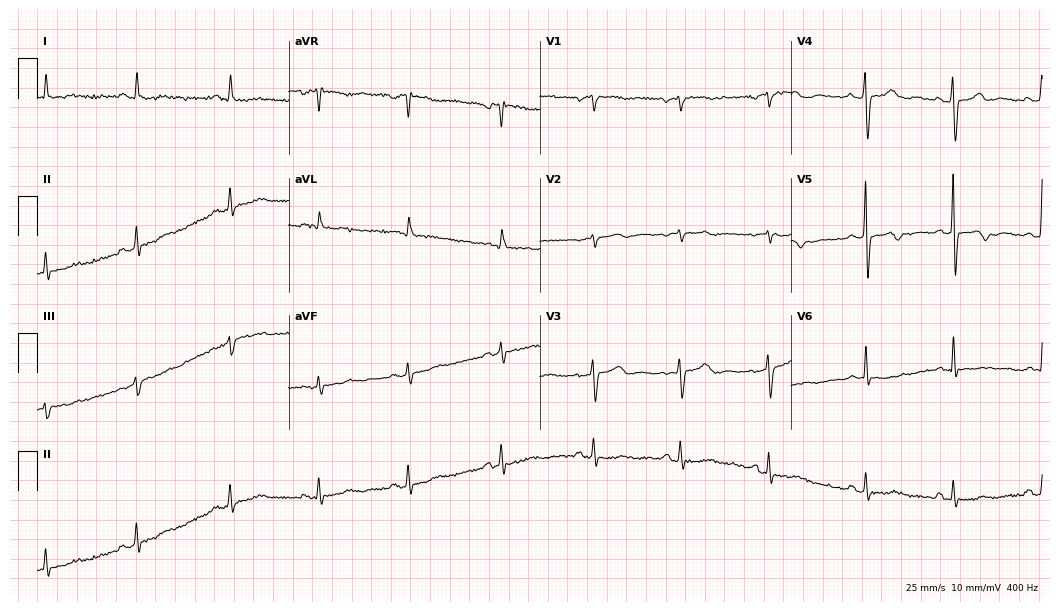
Standard 12-lead ECG recorded from a female patient, 56 years old. None of these six findings is recorded: first-degree AV block, right bundle branch block, left bundle branch block, sinus bradycardia, atrial fibrillation, sinus tachycardia. Only these six findings were labelled.